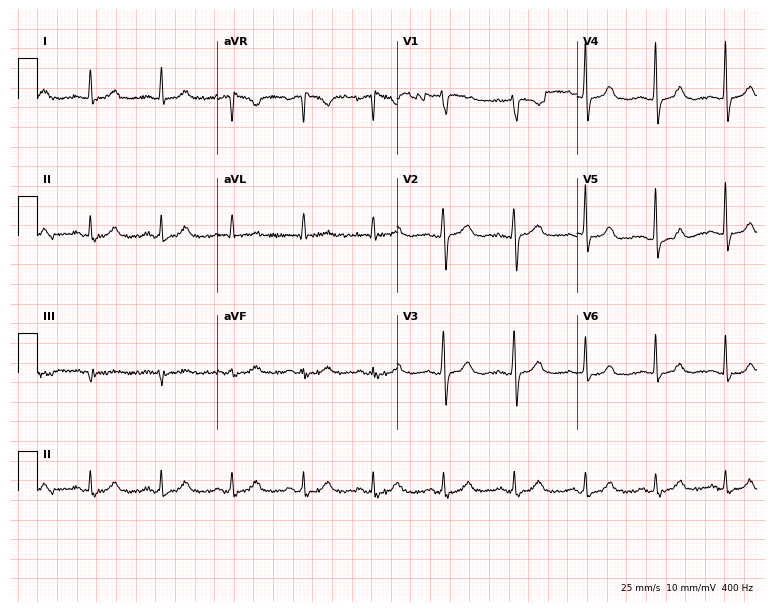
12-lead ECG from a 45-year-old woman (7.3-second recording at 400 Hz). Recorded interpretation: within normal limits.